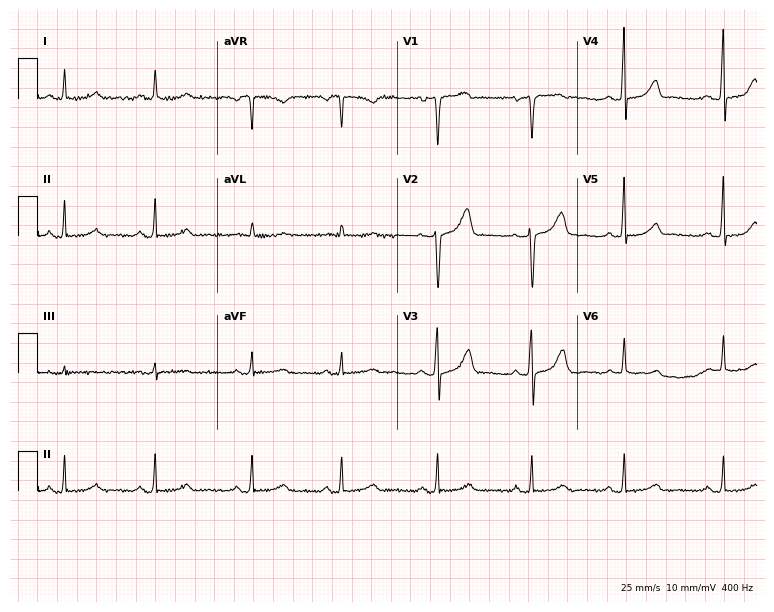
12-lead ECG (7.3-second recording at 400 Hz) from a woman, 48 years old. Labelled as a normal ECG.